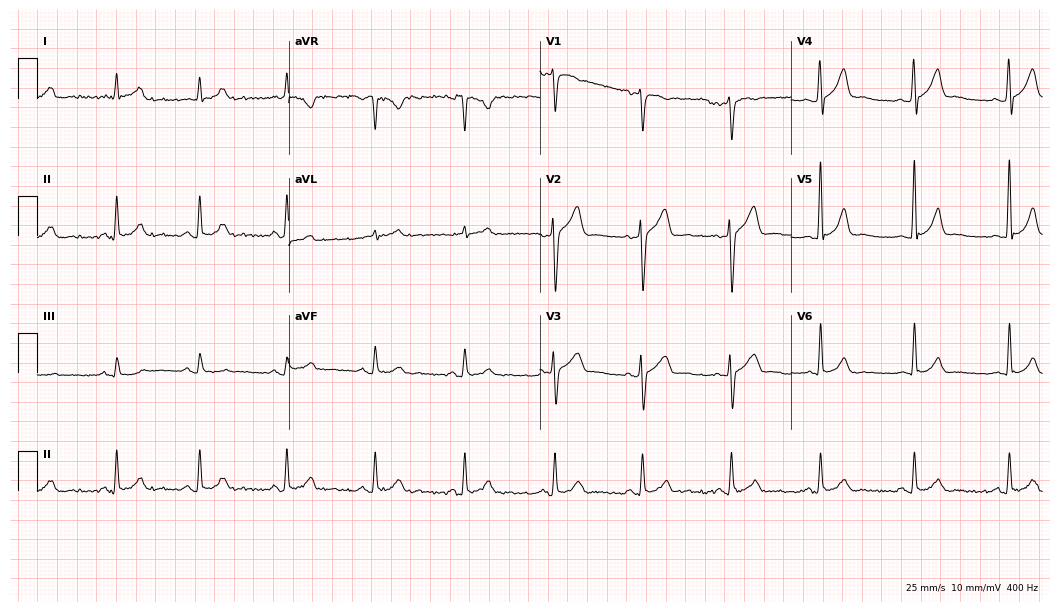
ECG — a male patient, 38 years old. Labelled as a normal ECG.